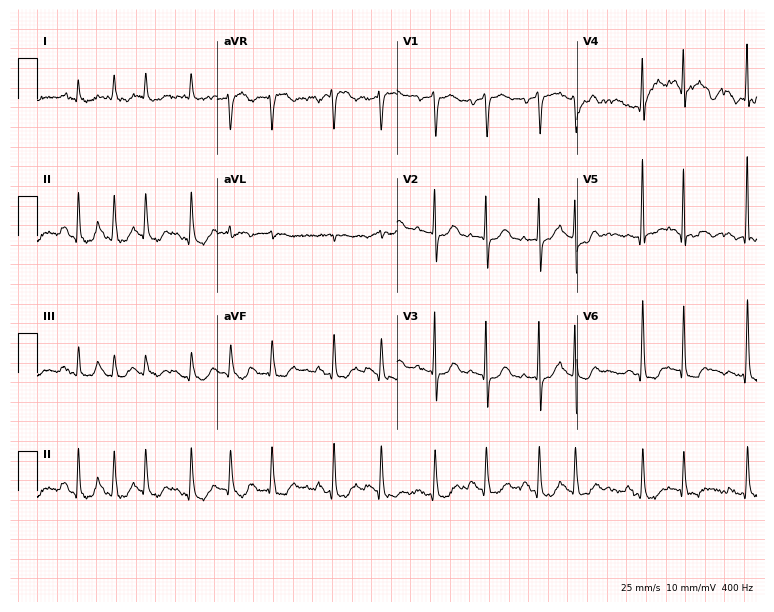
Electrocardiogram (7.3-second recording at 400 Hz), a male patient, 80 years old. Interpretation includes sinus tachycardia (a sinus rate of 100 beats per minute or more).